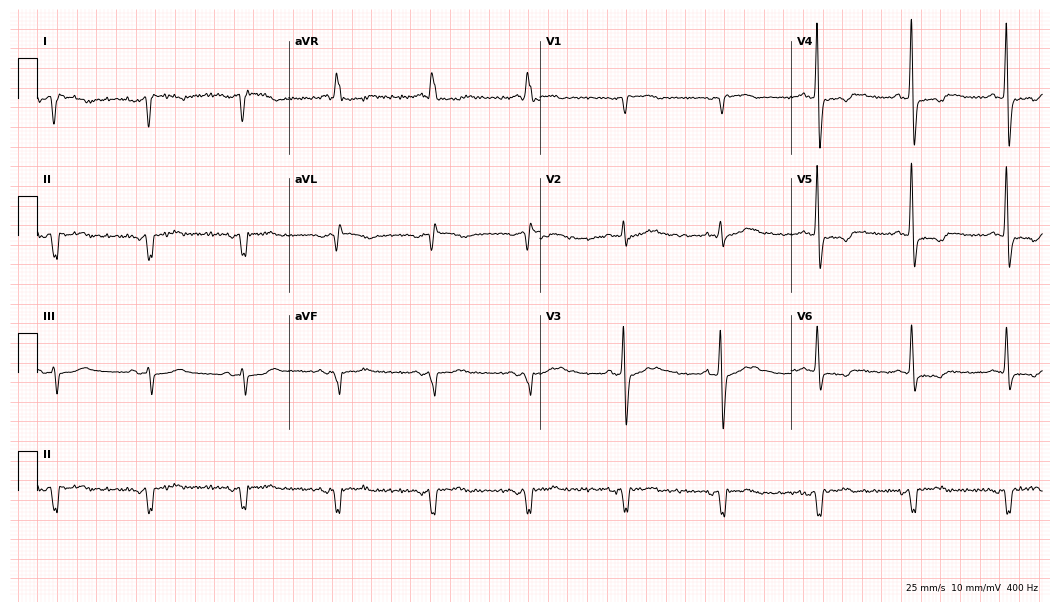
Electrocardiogram, a male patient, 63 years old. Of the six screened findings (first-degree AV block, right bundle branch block (RBBB), left bundle branch block (LBBB), sinus bradycardia, atrial fibrillation (AF), sinus tachycardia), none is recorded. Only these six findings were labelled.